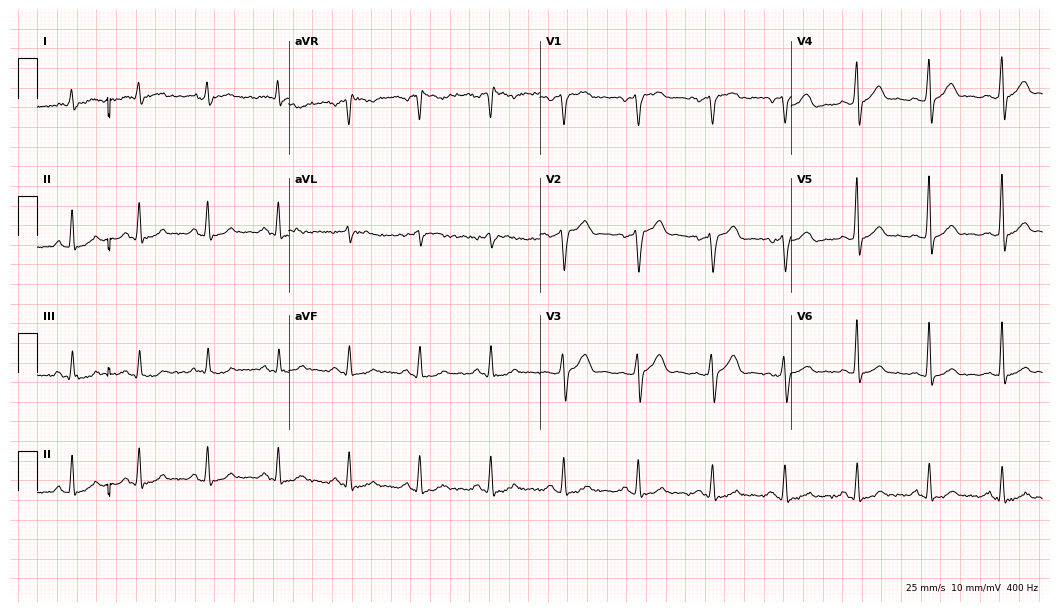
12-lead ECG from a 53-year-old male patient (10.2-second recording at 400 Hz). Recorded interpretation: within normal limits.